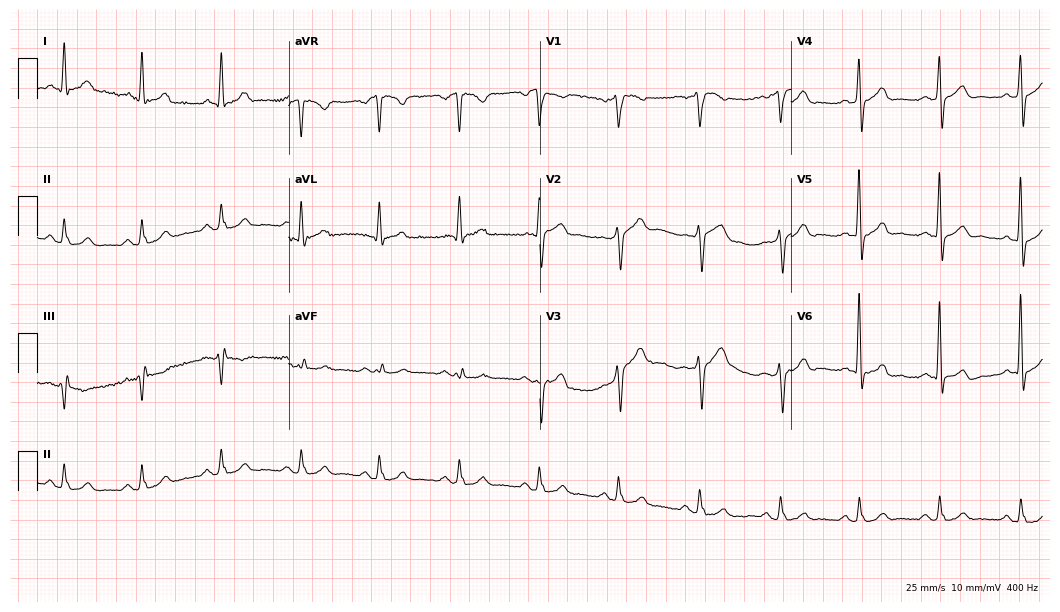
12-lead ECG (10.2-second recording at 400 Hz) from a 60-year-old male. Screened for six findings — first-degree AV block, right bundle branch block (RBBB), left bundle branch block (LBBB), sinus bradycardia, atrial fibrillation (AF), sinus tachycardia — none is recorded.